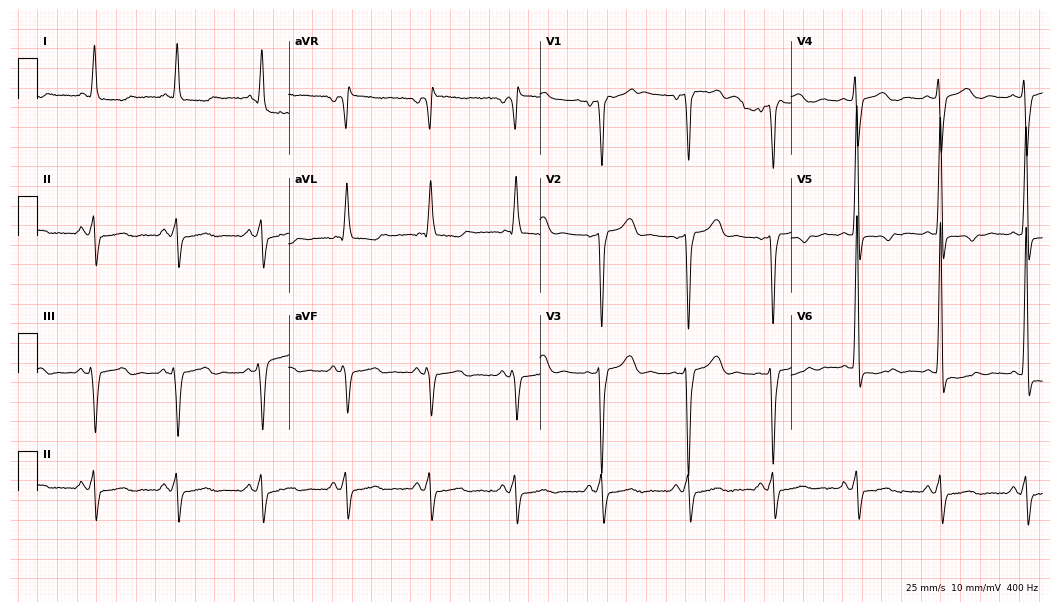
12-lead ECG from a male, 64 years old. Screened for six findings — first-degree AV block, right bundle branch block, left bundle branch block, sinus bradycardia, atrial fibrillation, sinus tachycardia — none is recorded. Only these six findings were labelled.